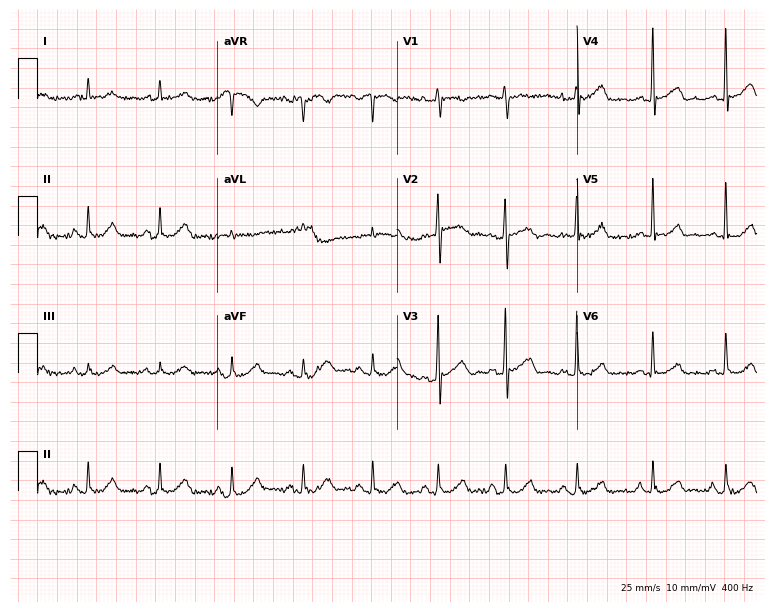
Resting 12-lead electrocardiogram (7.3-second recording at 400 Hz). Patient: a man, 67 years old. None of these six findings is recorded: first-degree AV block, right bundle branch block (RBBB), left bundle branch block (LBBB), sinus bradycardia, atrial fibrillation (AF), sinus tachycardia.